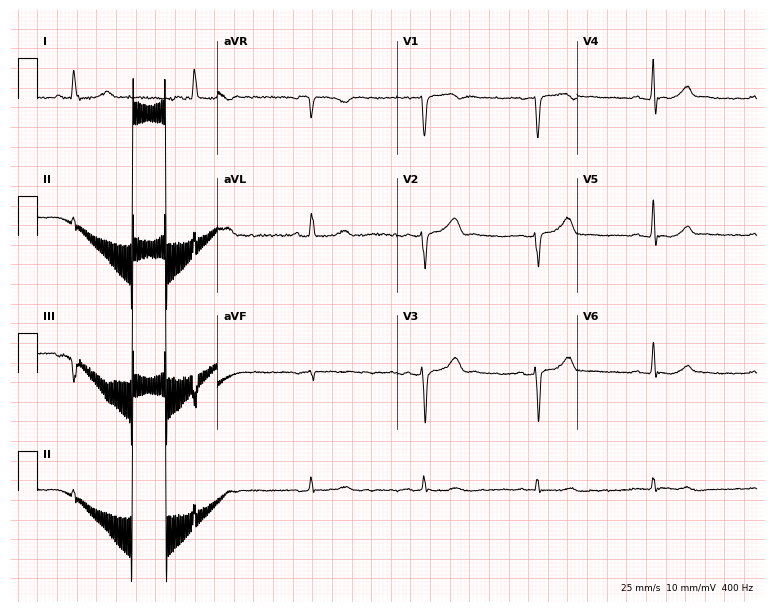
12-lead ECG from a 54-year-old woman. Recorded interpretation: within normal limits.